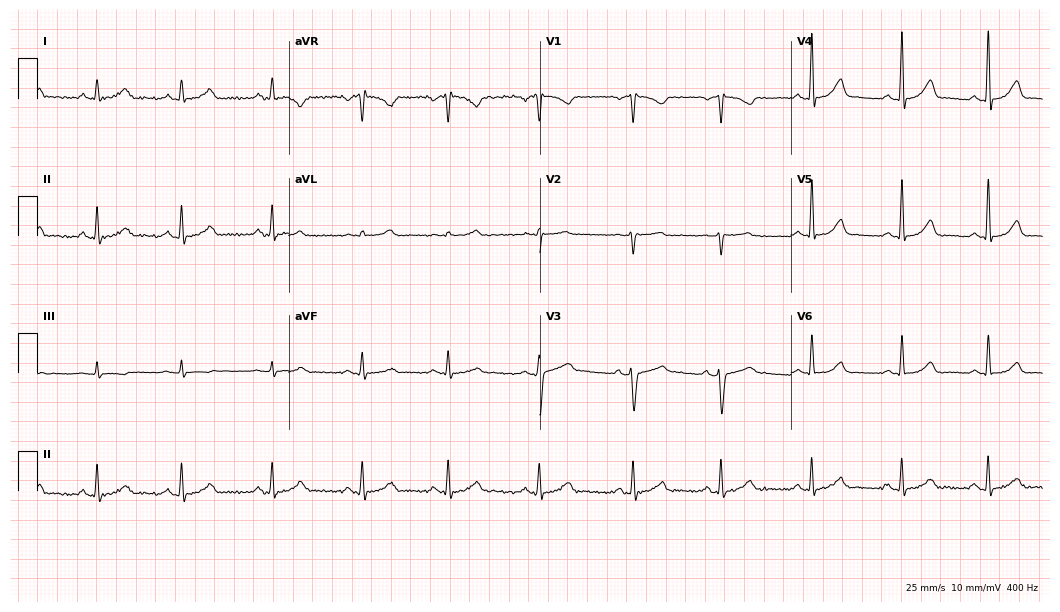
12-lead ECG from a woman, 37 years old. Labelled as a normal ECG.